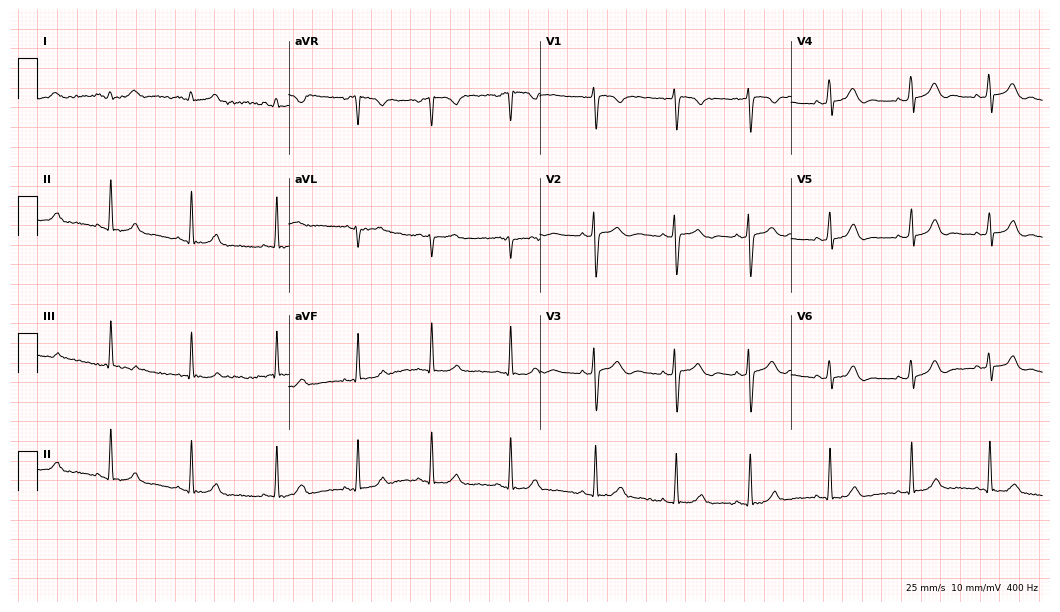
Standard 12-lead ECG recorded from a 17-year-old woman. Read as a normal ECG.